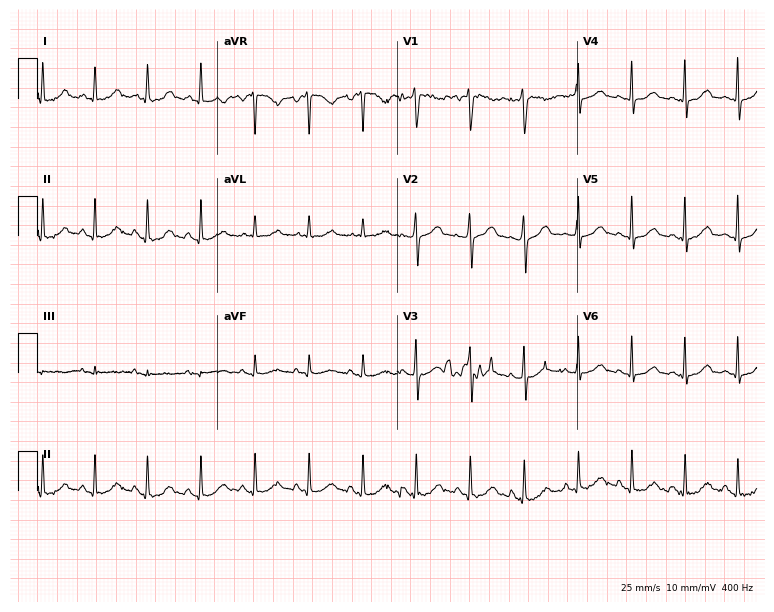
Standard 12-lead ECG recorded from a 35-year-old woman. The tracing shows sinus tachycardia (a sinus rate of 100 beats per minute or more).